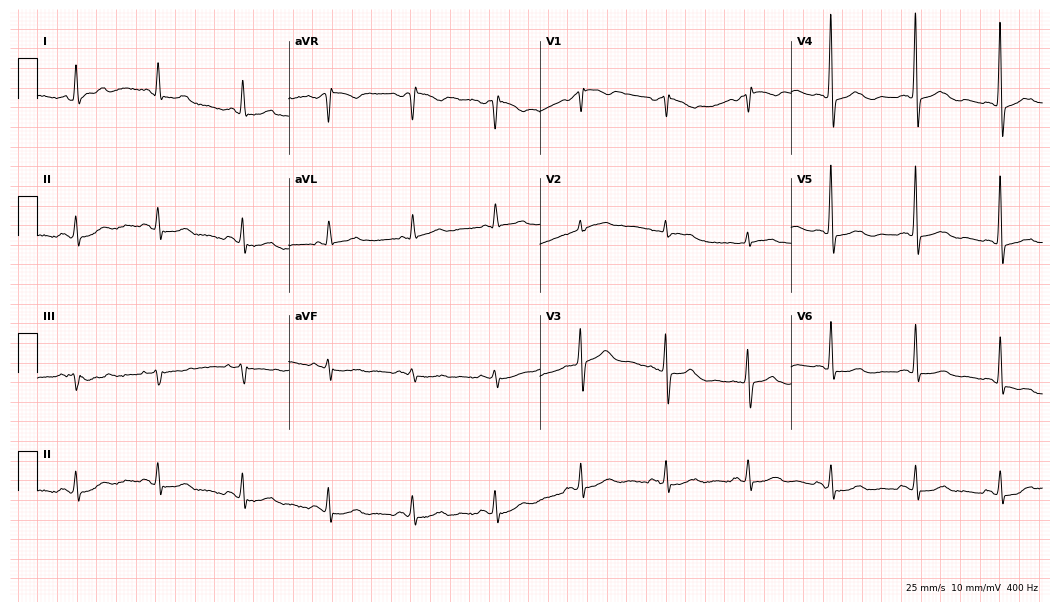
Electrocardiogram (10.2-second recording at 400 Hz), a female patient, 70 years old. Of the six screened findings (first-degree AV block, right bundle branch block, left bundle branch block, sinus bradycardia, atrial fibrillation, sinus tachycardia), none is recorded. Only these six findings were labelled.